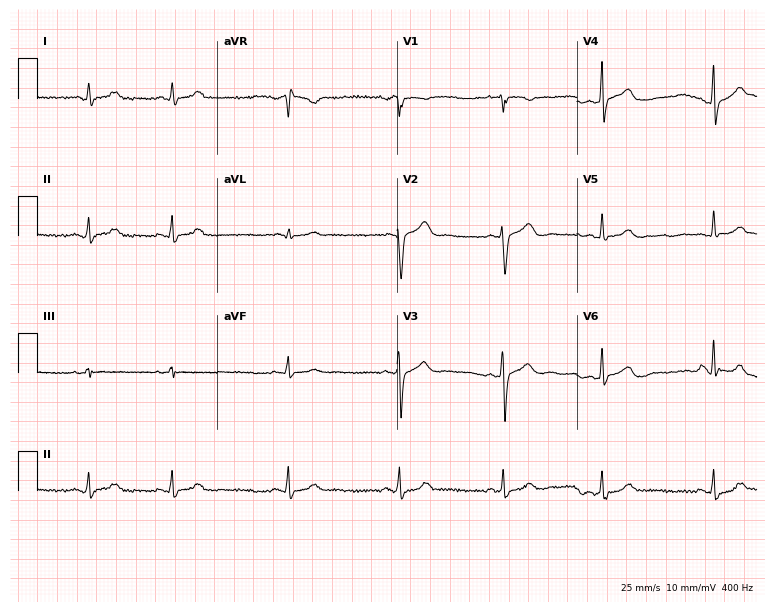
Standard 12-lead ECG recorded from an 18-year-old female patient (7.3-second recording at 400 Hz). Read as a normal ECG.